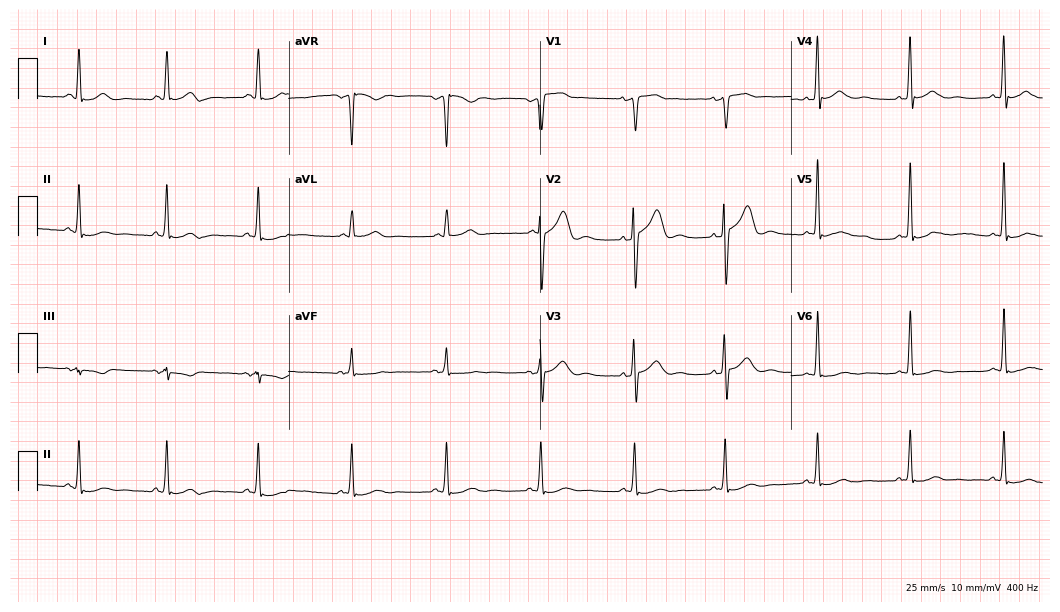
Electrocardiogram (10.2-second recording at 400 Hz), a 44-year-old male. Overall reading on record: normal ECG.